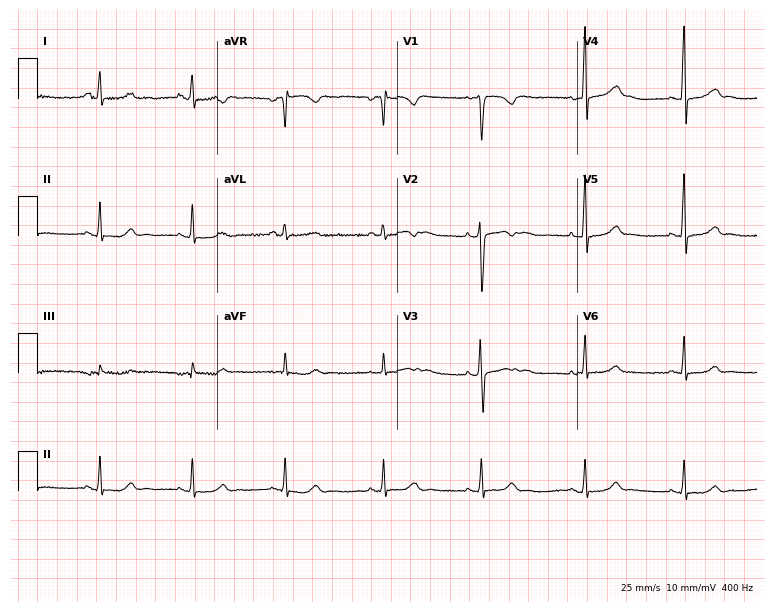
12-lead ECG (7.3-second recording at 400 Hz) from a female patient, 40 years old. Screened for six findings — first-degree AV block, right bundle branch block, left bundle branch block, sinus bradycardia, atrial fibrillation, sinus tachycardia — none is recorded.